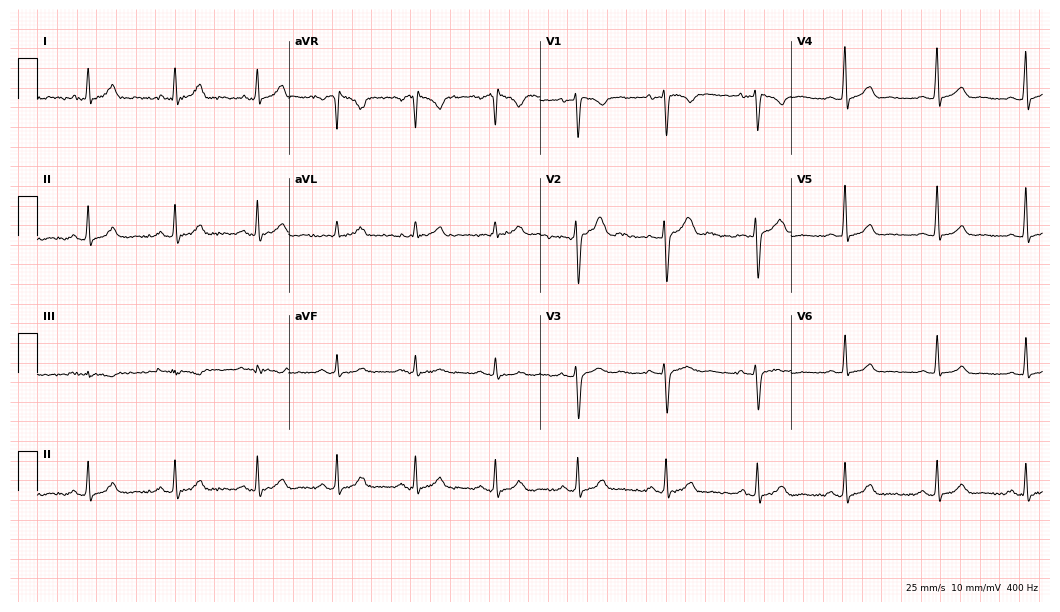
12-lead ECG from a 36-year-old male patient. Labelled as a normal ECG.